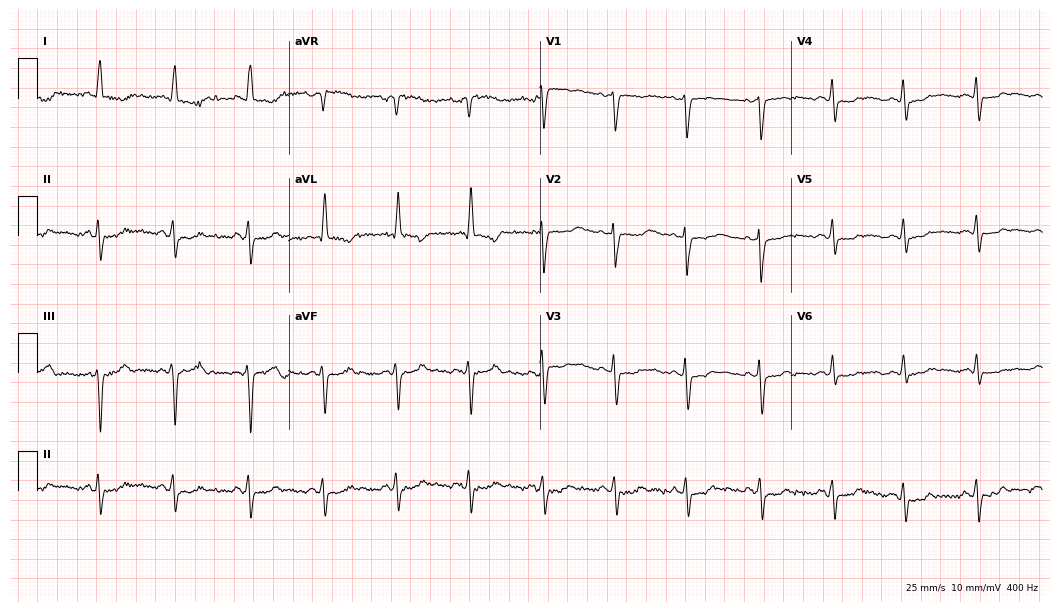
Resting 12-lead electrocardiogram. Patient: a female, 66 years old. None of these six findings is recorded: first-degree AV block, right bundle branch block, left bundle branch block, sinus bradycardia, atrial fibrillation, sinus tachycardia. Findings outside these six are not listed.